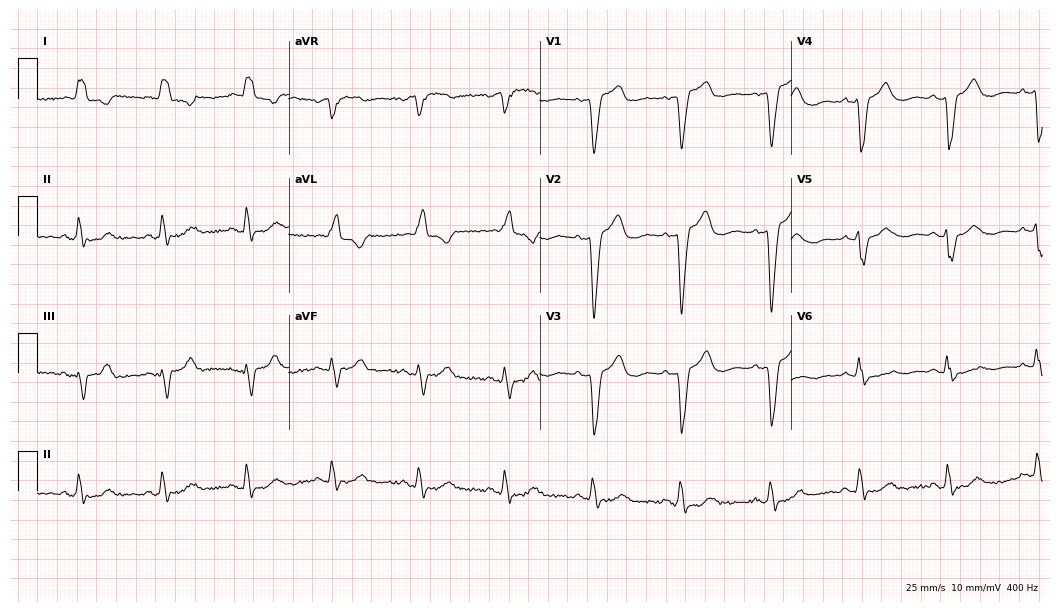
Electrocardiogram, a female, 75 years old. Interpretation includes left bundle branch block.